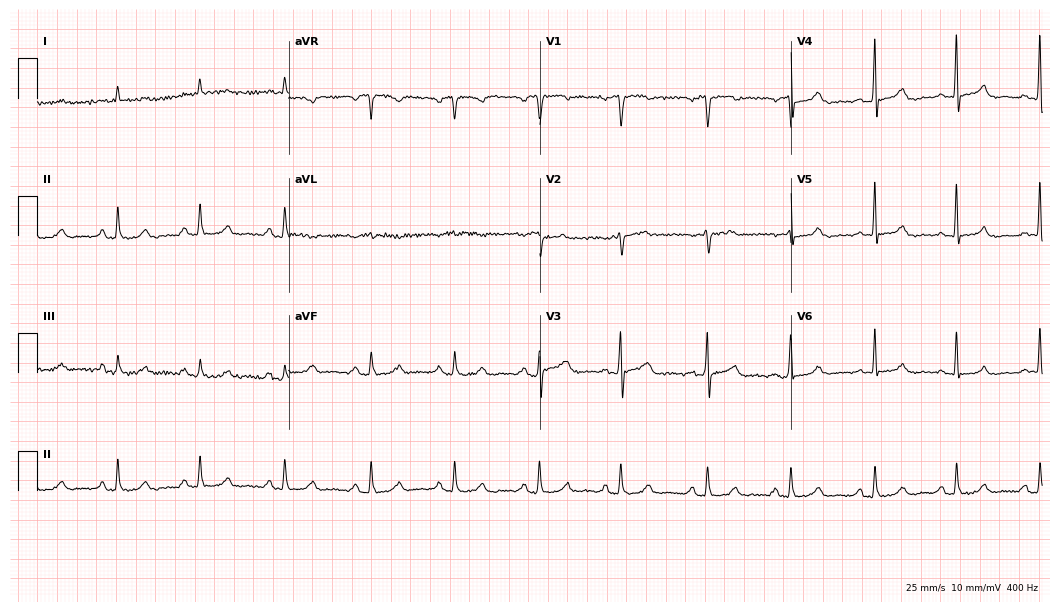
ECG — a 63-year-old male patient. Labelled as a normal ECG.